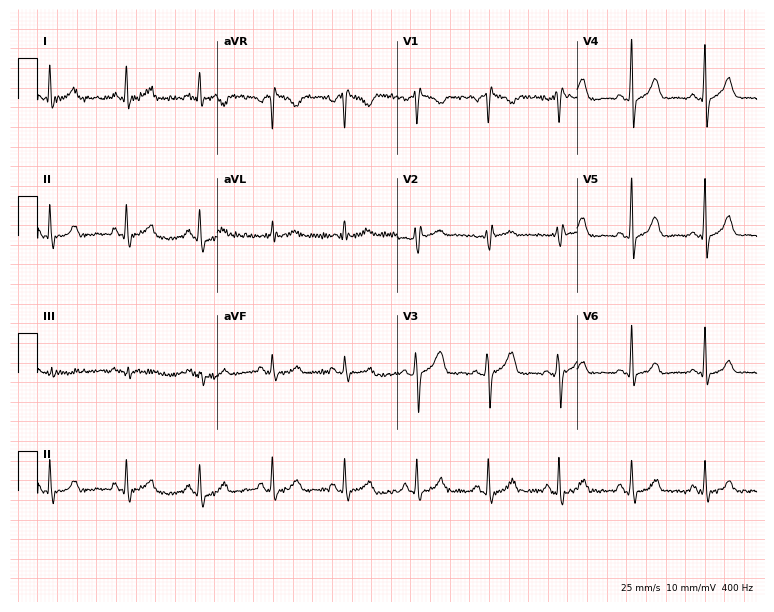
12-lead ECG from a 37-year-old female patient. Screened for six findings — first-degree AV block, right bundle branch block, left bundle branch block, sinus bradycardia, atrial fibrillation, sinus tachycardia — none is recorded. Other findings, if any, are not listed.